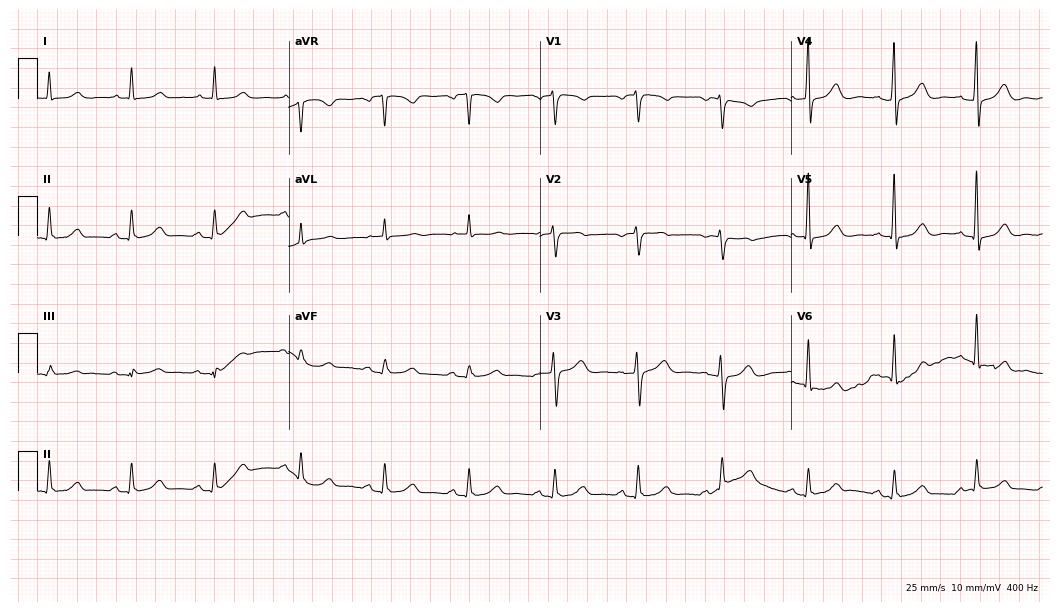
12-lead ECG (10.2-second recording at 400 Hz) from a 65-year-old female patient. Screened for six findings — first-degree AV block, right bundle branch block, left bundle branch block, sinus bradycardia, atrial fibrillation, sinus tachycardia — none is recorded. Findings outside these six are not listed.